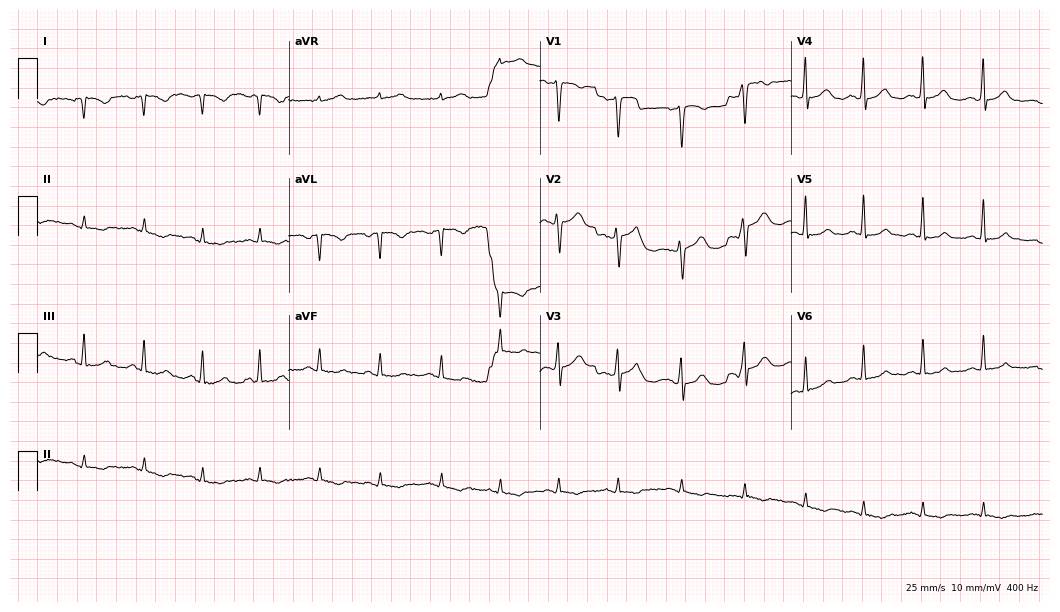
Electrocardiogram, a female, 48 years old. Of the six screened findings (first-degree AV block, right bundle branch block, left bundle branch block, sinus bradycardia, atrial fibrillation, sinus tachycardia), none is recorded. Only these six findings were labelled.